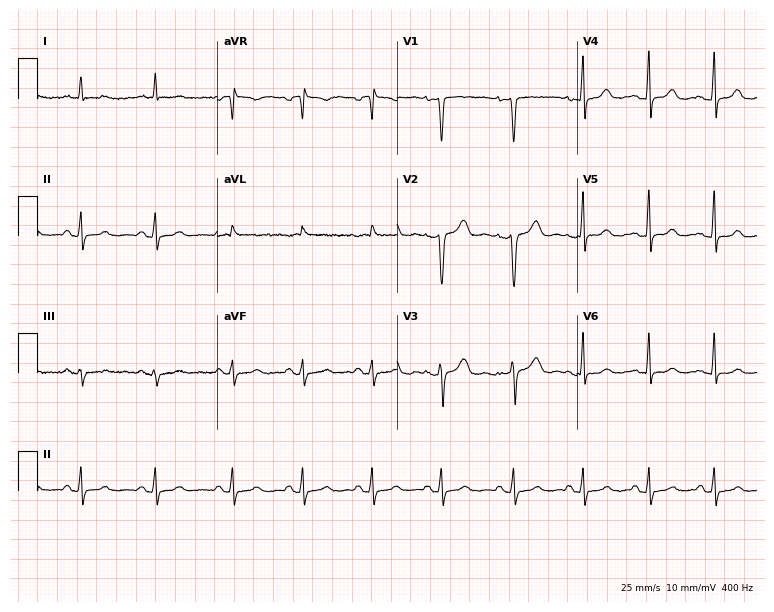
ECG (7.3-second recording at 400 Hz) — a 29-year-old female patient. Screened for six findings — first-degree AV block, right bundle branch block, left bundle branch block, sinus bradycardia, atrial fibrillation, sinus tachycardia — none is recorded. Other findings, if any, are not listed.